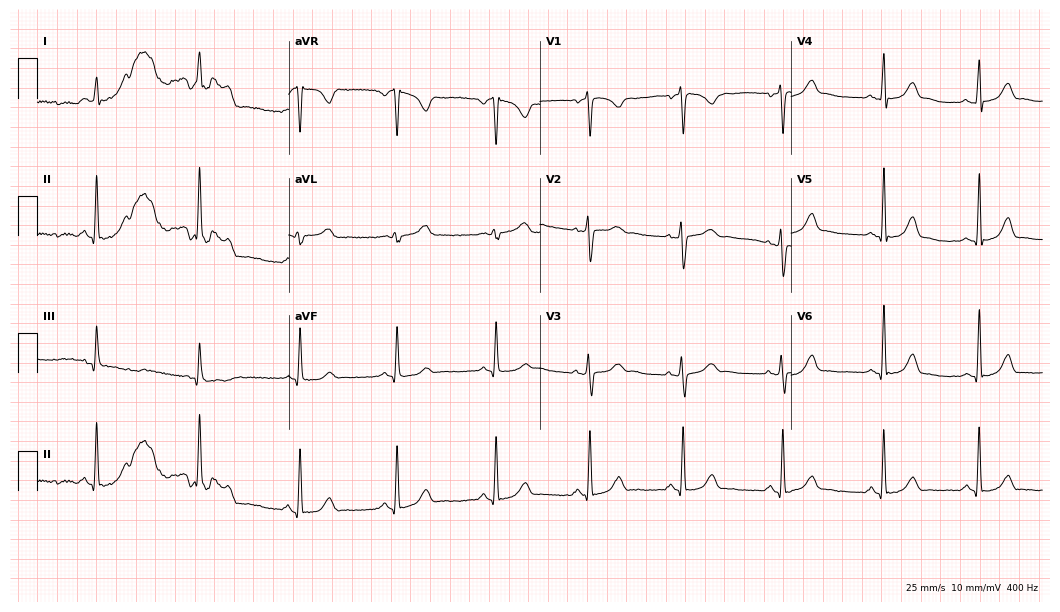
12-lead ECG (10.2-second recording at 400 Hz) from a 34-year-old female patient. Labelled as a normal ECG.